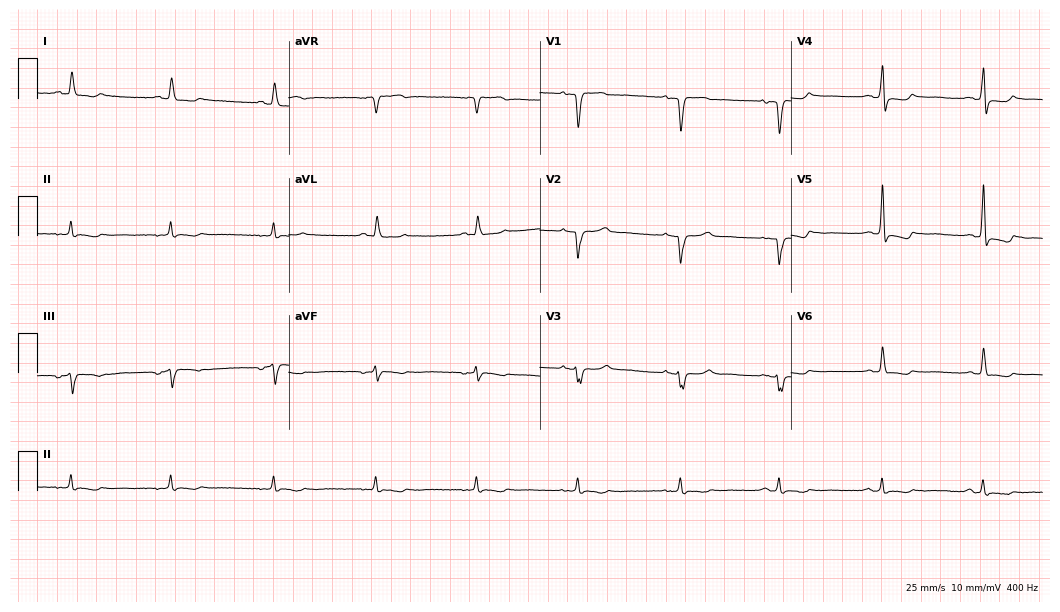
Standard 12-lead ECG recorded from a 76-year-old female patient (10.2-second recording at 400 Hz). None of these six findings is recorded: first-degree AV block, right bundle branch block, left bundle branch block, sinus bradycardia, atrial fibrillation, sinus tachycardia.